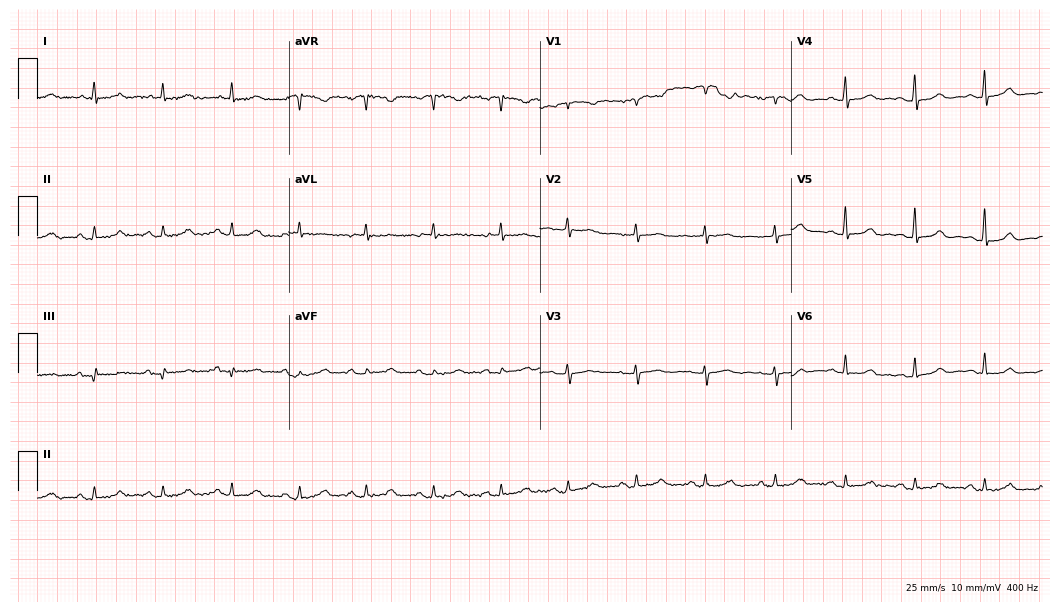
Resting 12-lead electrocardiogram (10.2-second recording at 400 Hz). Patient: a 78-year-old female. None of these six findings is recorded: first-degree AV block, right bundle branch block (RBBB), left bundle branch block (LBBB), sinus bradycardia, atrial fibrillation (AF), sinus tachycardia. Other findings, if any, are not listed.